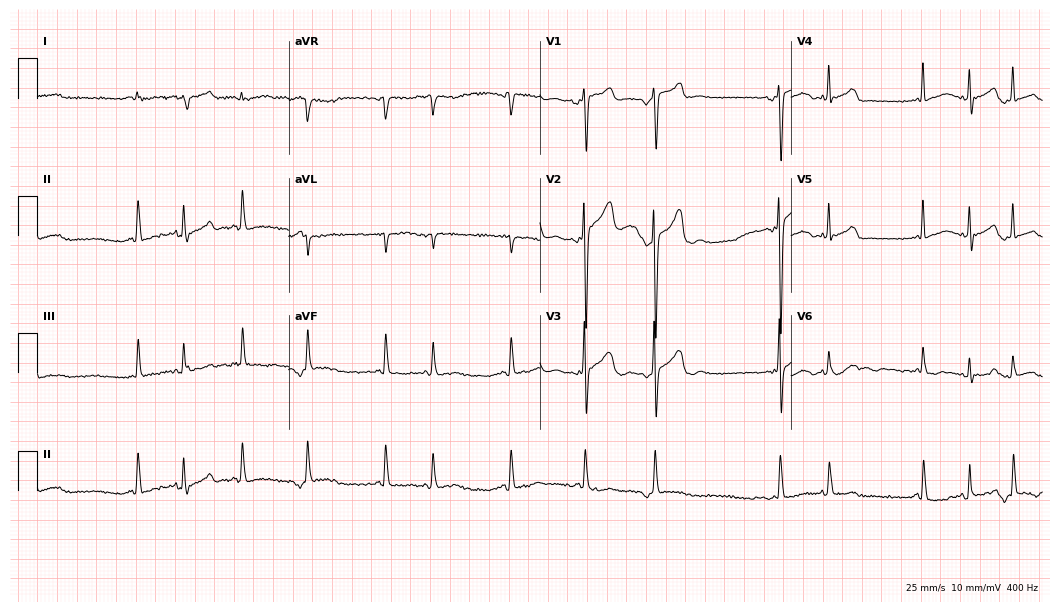
12-lead ECG (10.2-second recording at 400 Hz) from an 82-year-old female patient. Labelled as a normal ECG.